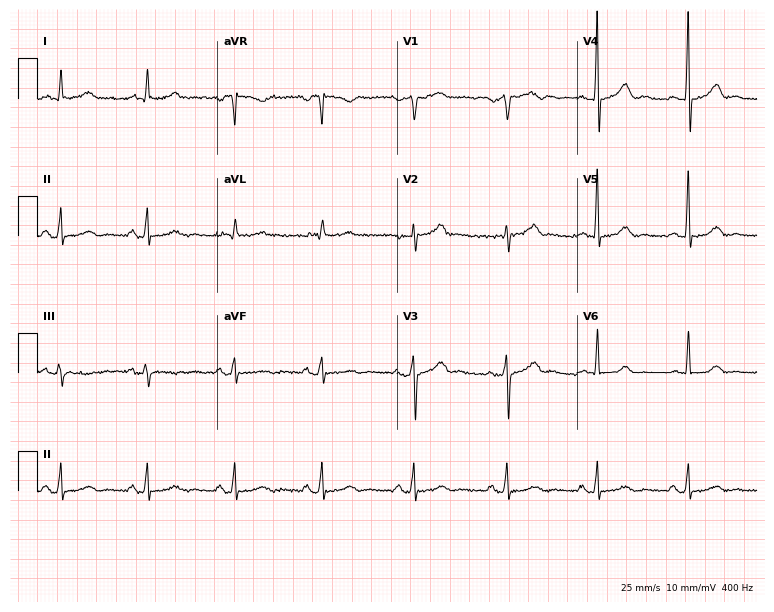
12-lead ECG from a 79-year-old male patient (7.3-second recording at 400 Hz). Recorded interpretation: within normal limits.